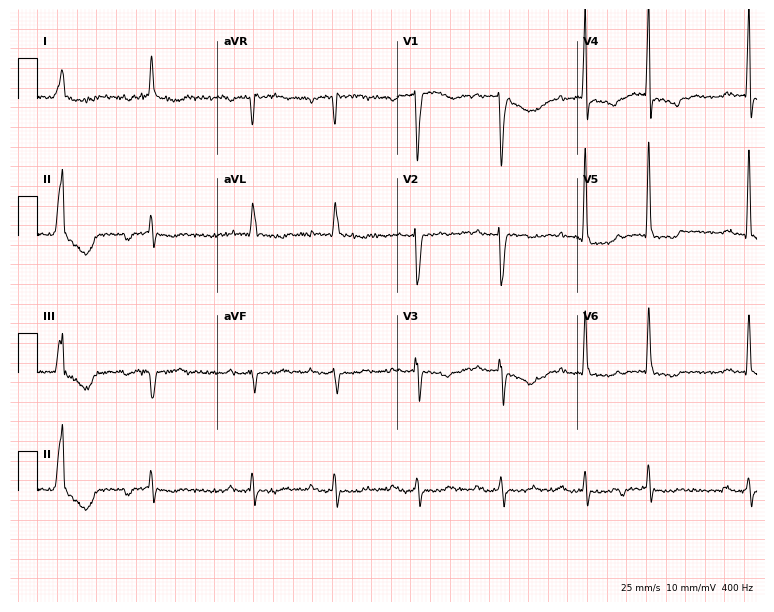
ECG — a 78-year-old female. Findings include first-degree AV block.